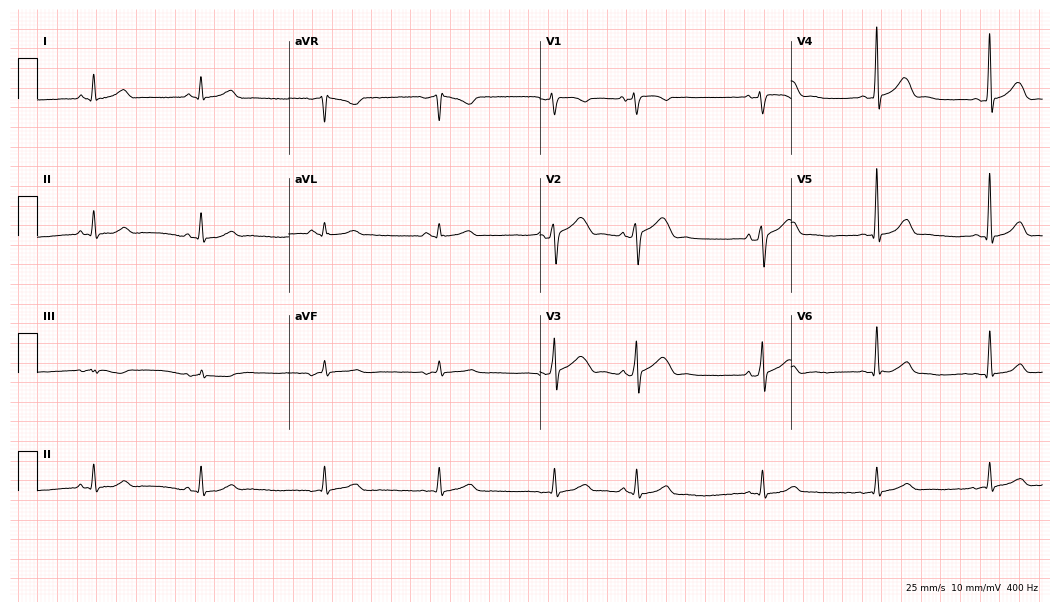
12-lead ECG from a 61-year-old male. Recorded interpretation: within normal limits.